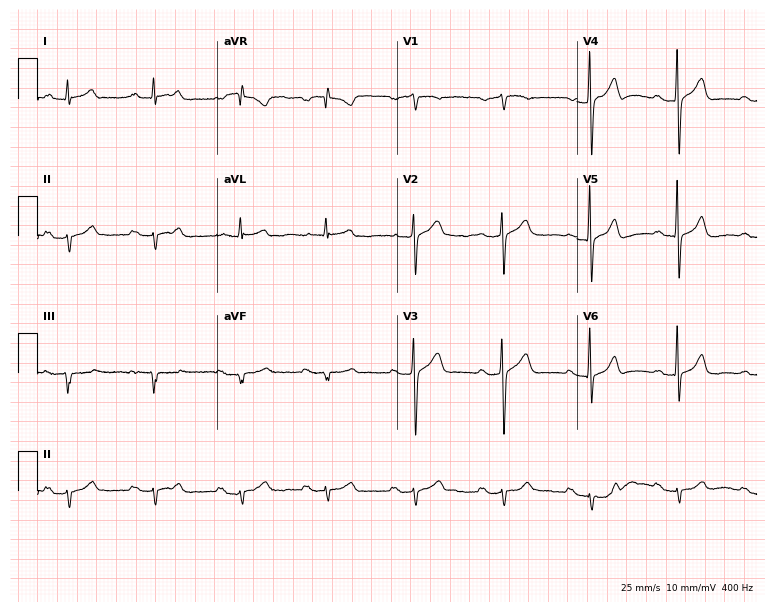
Standard 12-lead ECG recorded from a 72-year-old male patient. The tracing shows first-degree AV block.